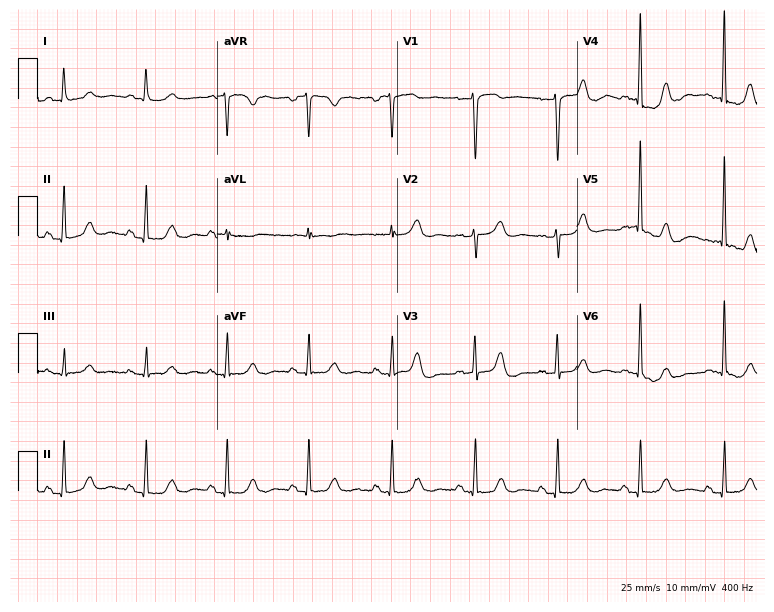
Standard 12-lead ECG recorded from a female patient, 83 years old (7.3-second recording at 400 Hz). None of these six findings is recorded: first-degree AV block, right bundle branch block, left bundle branch block, sinus bradycardia, atrial fibrillation, sinus tachycardia. Only these six findings were labelled.